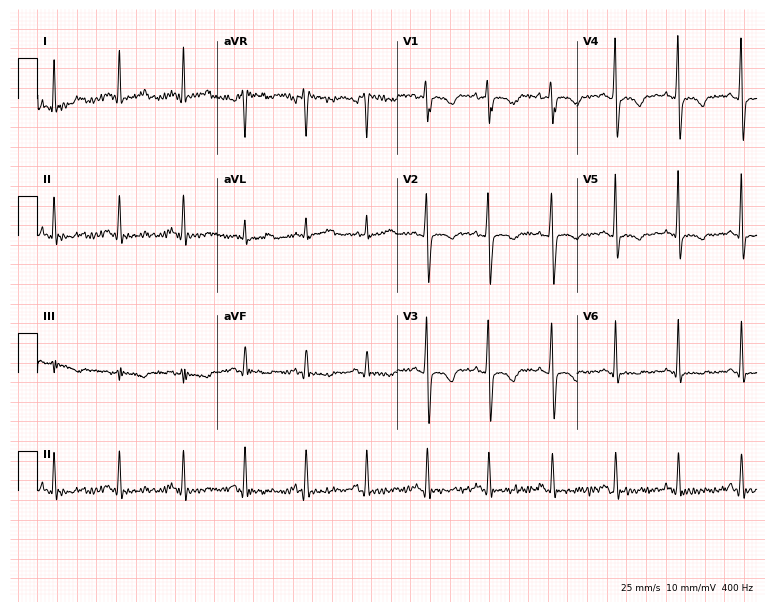
Resting 12-lead electrocardiogram (7.3-second recording at 400 Hz). Patient: a female, 51 years old. None of these six findings is recorded: first-degree AV block, right bundle branch block (RBBB), left bundle branch block (LBBB), sinus bradycardia, atrial fibrillation (AF), sinus tachycardia.